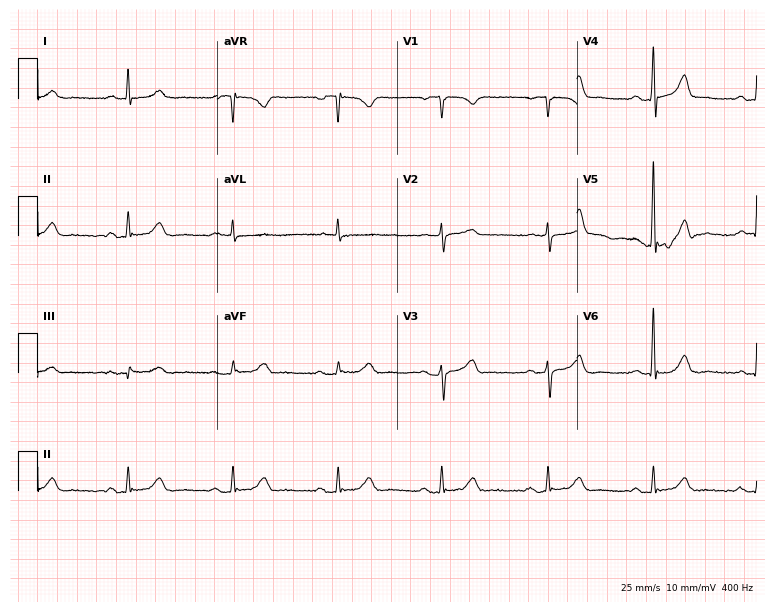
Standard 12-lead ECG recorded from an 84-year-old man (7.3-second recording at 400 Hz). Read as a normal ECG.